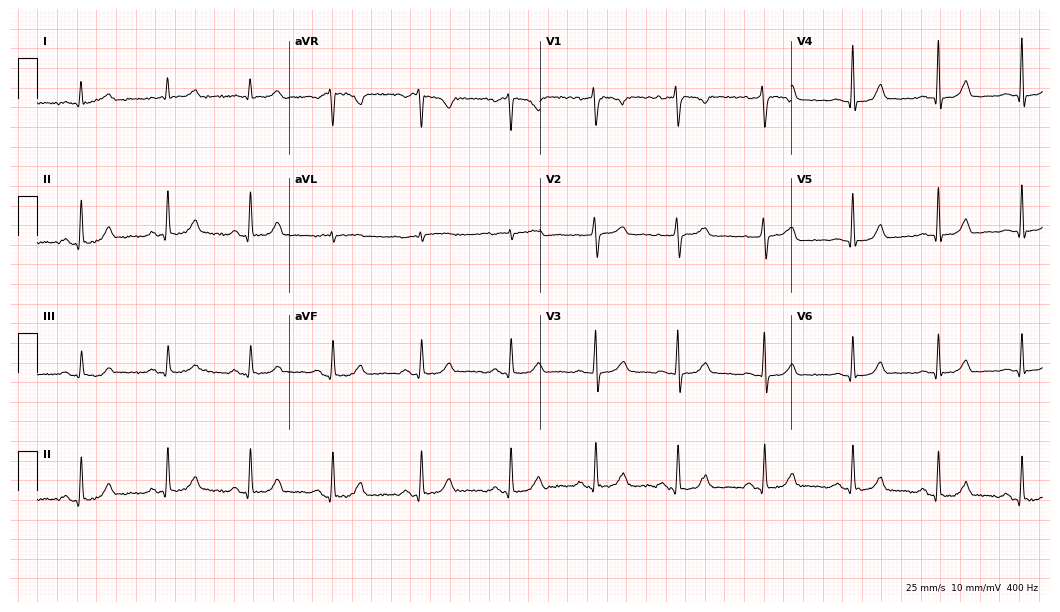
12-lead ECG from a 43-year-old female patient (10.2-second recording at 400 Hz). Recorded interpretation: within normal limits.